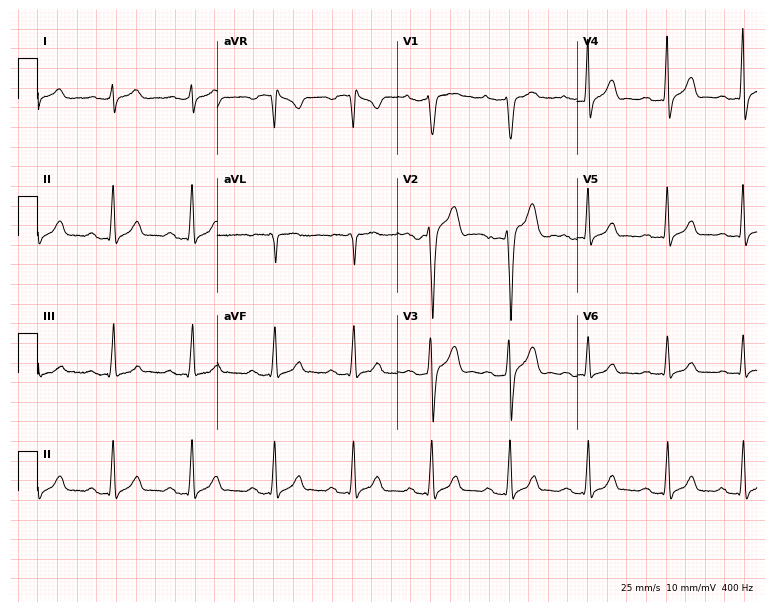
Resting 12-lead electrocardiogram. Patient: a male, 32 years old. The tracing shows first-degree AV block.